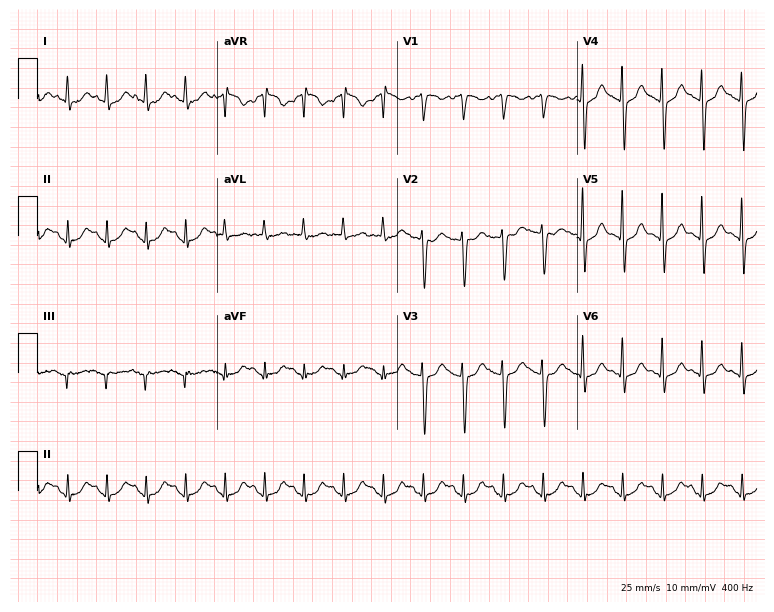
Electrocardiogram, a 55-year-old woman. Of the six screened findings (first-degree AV block, right bundle branch block (RBBB), left bundle branch block (LBBB), sinus bradycardia, atrial fibrillation (AF), sinus tachycardia), none is recorded. Other findings, if any, are not listed.